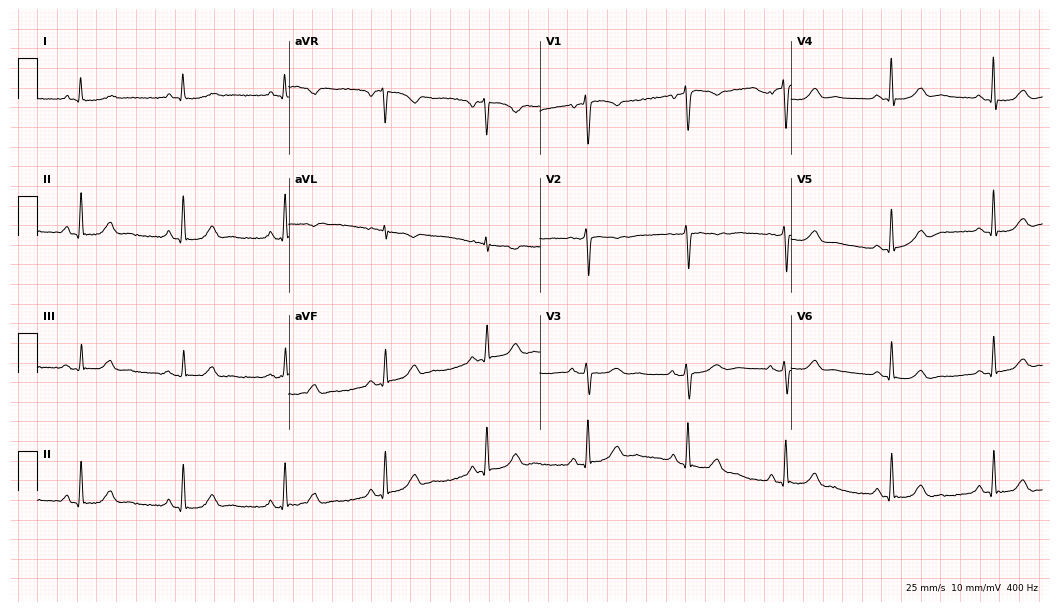
ECG (10.2-second recording at 400 Hz) — a 66-year-old female. Labelled as a normal ECG.